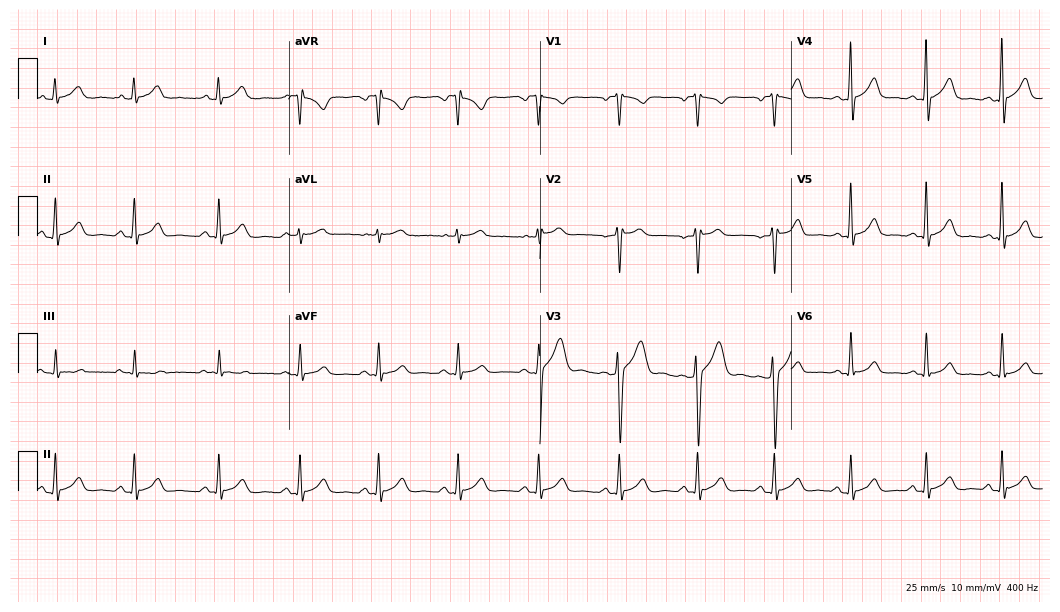
Resting 12-lead electrocardiogram. Patient: a 27-year-old male. Read as a normal ECG.